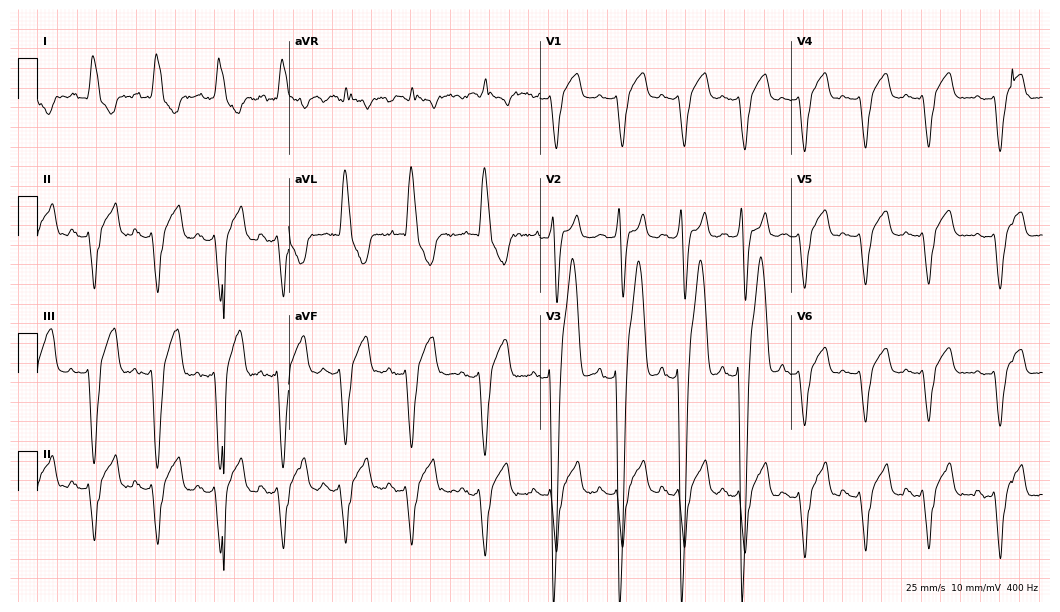
Resting 12-lead electrocardiogram. Patient: a 45-year-old male. The tracing shows left bundle branch block.